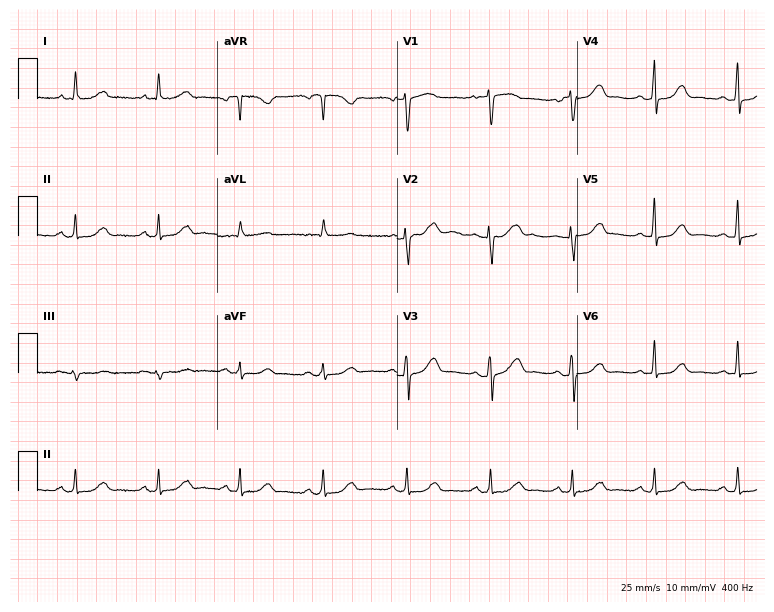
12-lead ECG from a female, 68 years old (7.3-second recording at 400 Hz). Recorded interpretation: within normal limits.